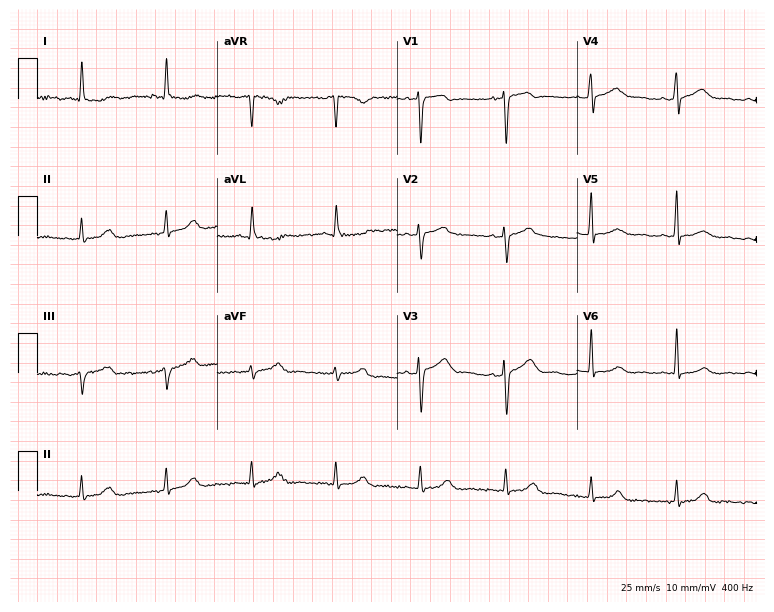
Electrocardiogram (7.3-second recording at 400 Hz), a female patient, 59 years old. Of the six screened findings (first-degree AV block, right bundle branch block (RBBB), left bundle branch block (LBBB), sinus bradycardia, atrial fibrillation (AF), sinus tachycardia), none is recorded. Only these six findings were labelled.